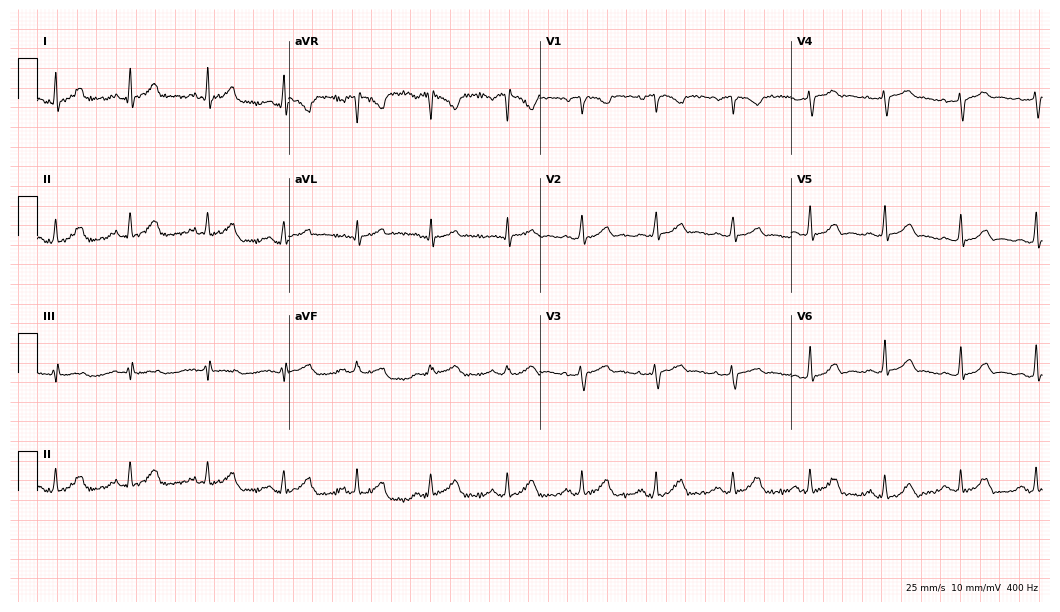
ECG (10.2-second recording at 400 Hz) — a female patient, 40 years old. Labelled as a normal ECG.